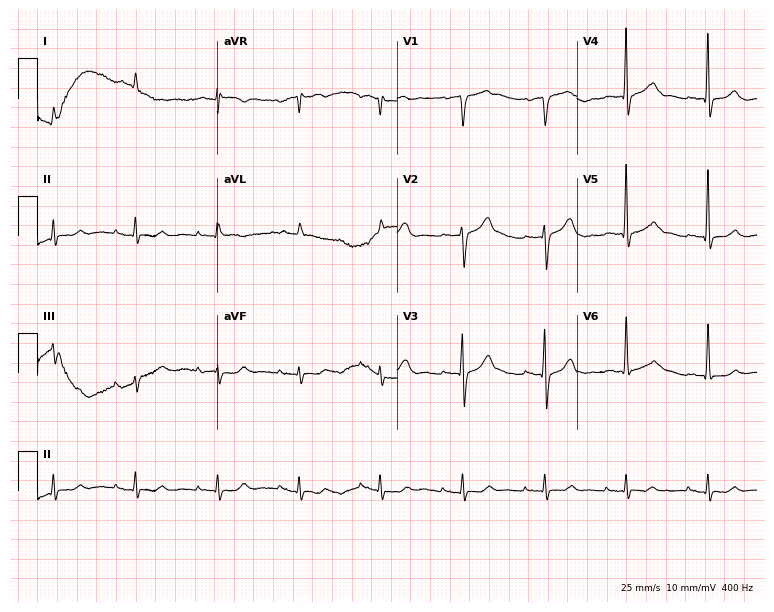
Resting 12-lead electrocardiogram (7.3-second recording at 400 Hz). Patient: an 81-year-old male. None of these six findings is recorded: first-degree AV block, right bundle branch block, left bundle branch block, sinus bradycardia, atrial fibrillation, sinus tachycardia.